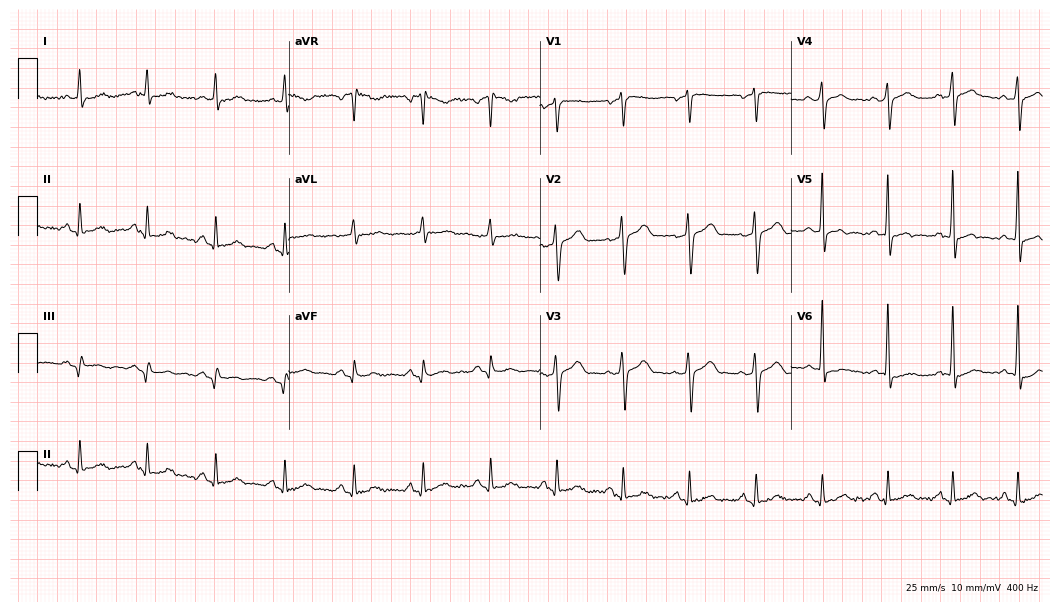
Standard 12-lead ECG recorded from a male, 74 years old (10.2-second recording at 400 Hz). None of these six findings is recorded: first-degree AV block, right bundle branch block, left bundle branch block, sinus bradycardia, atrial fibrillation, sinus tachycardia.